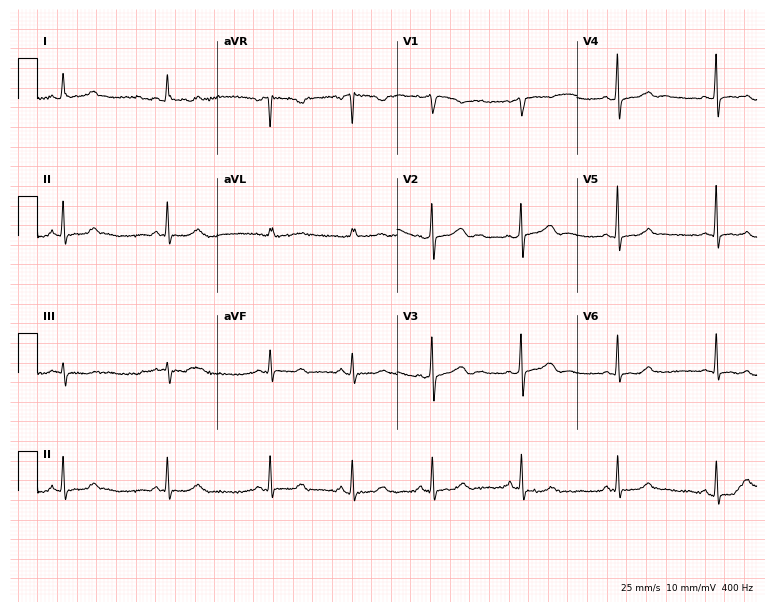
12-lead ECG from a 32-year-old female patient. No first-degree AV block, right bundle branch block, left bundle branch block, sinus bradycardia, atrial fibrillation or sinus tachycardia recorded for this tracing. Other findings, if any, are not listed.